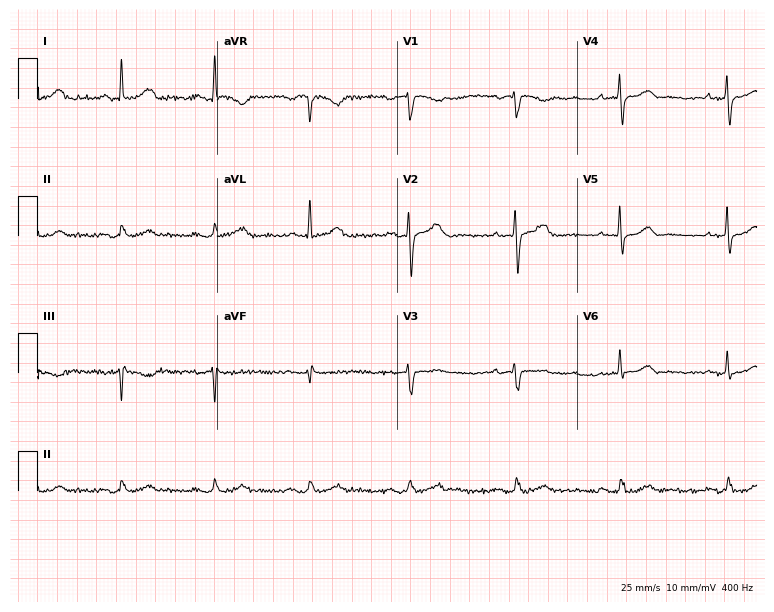
Standard 12-lead ECG recorded from a 72-year-old female patient (7.3-second recording at 400 Hz). Read as a normal ECG.